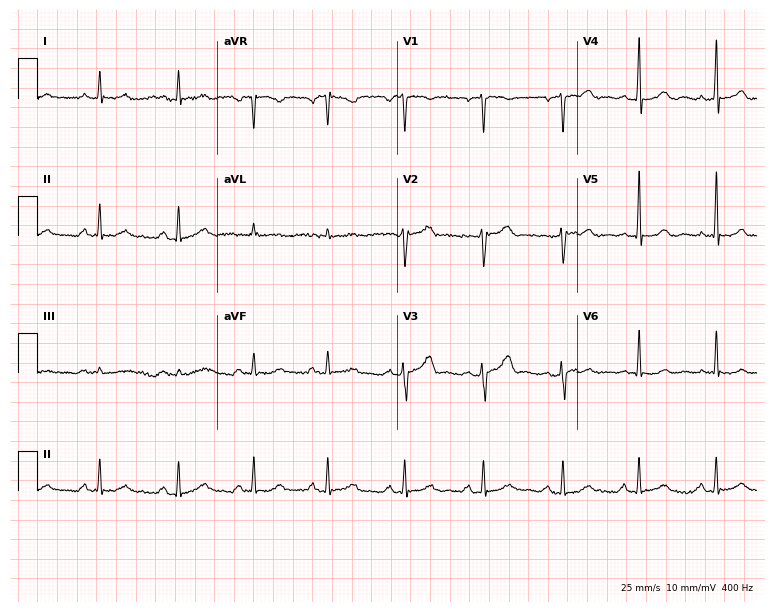
12-lead ECG from a 42-year-old male patient. No first-degree AV block, right bundle branch block (RBBB), left bundle branch block (LBBB), sinus bradycardia, atrial fibrillation (AF) or sinus tachycardia recorded for this tracing.